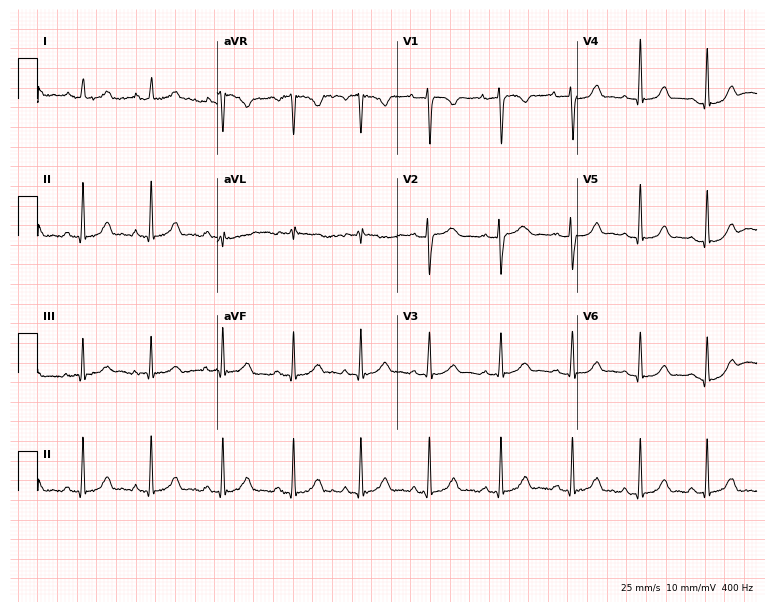
Standard 12-lead ECG recorded from a woman, 19 years old (7.3-second recording at 400 Hz). Read as a normal ECG.